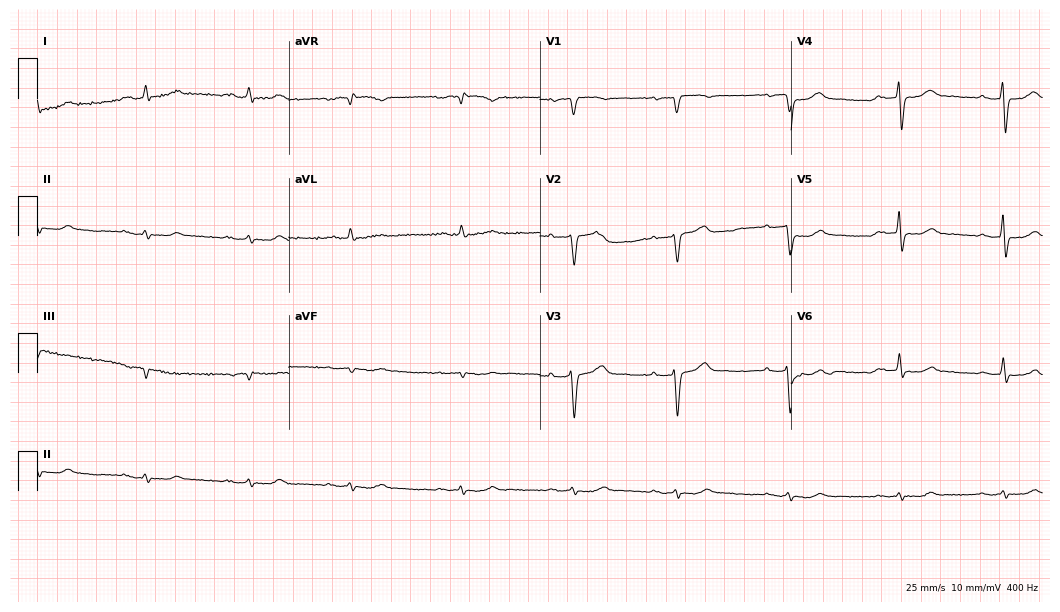
12-lead ECG from a 69-year-old male patient (10.2-second recording at 400 Hz). No first-degree AV block, right bundle branch block, left bundle branch block, sinus bradycardia, atrial fibrillation or sinus tachycardia recorded for this tracing.